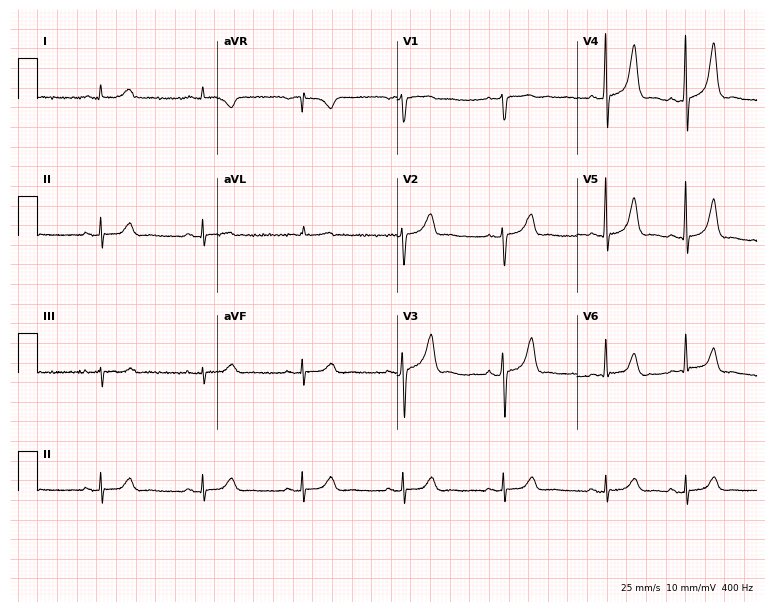
Electrocardiogram (7.3-second recording at 400 Hz), a 70-year-old man. Overall reading on record: normal ECG.